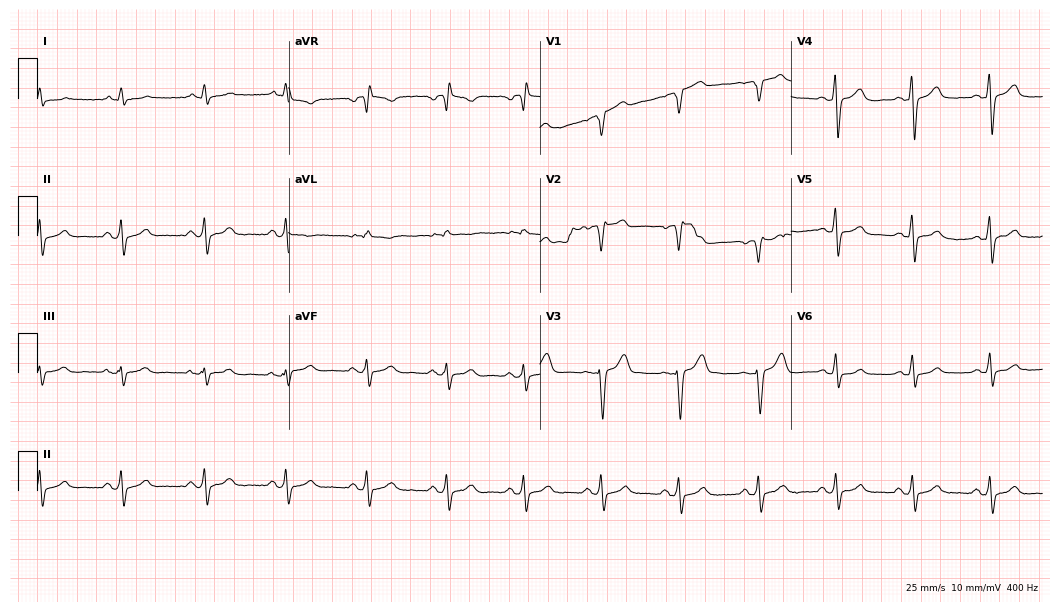
12-lead ECG from a 56-year-old man. Screened for six findings — first-degree AV block, right bundle branch block, left bundle branch block, sinus bradycardia, atrial fibrillation, sinus tachycardia — none is recorded.